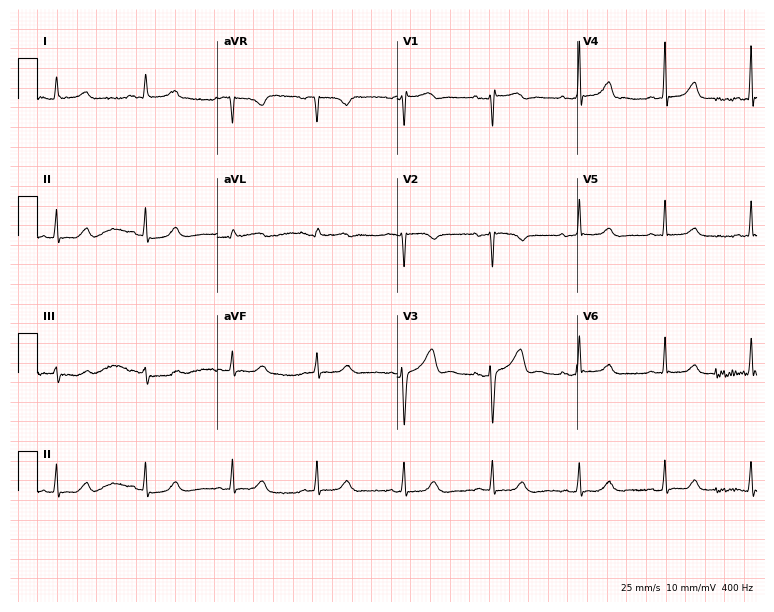
ECG — a female, 39 years old. Screened for six findings — first-degree AV block, right bundle branch block, left bundle branch block, sinus bradycardia, atrial fibrillation, sinus tachycardia — none is recorded. Findings outside these six are not listed.